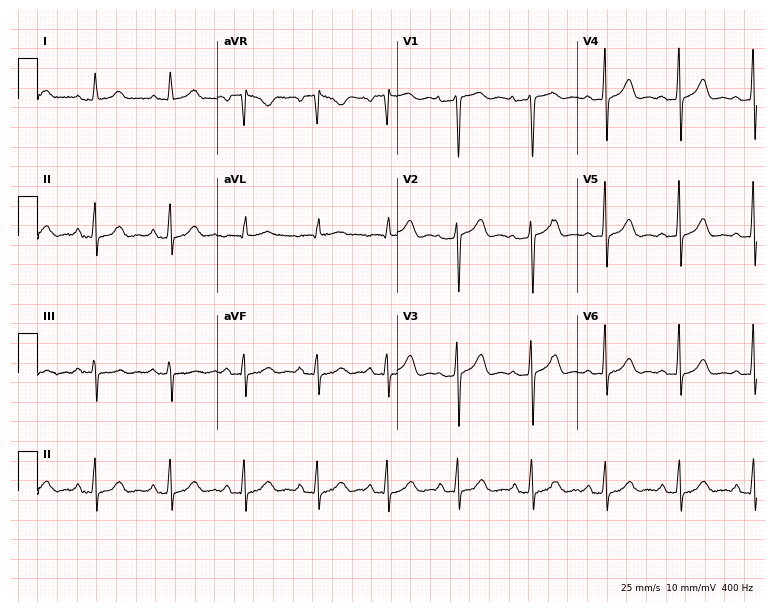
Resting 12-lead electrocardiogram. Patient: a woman, 47 years old. Read as a normal ECG.